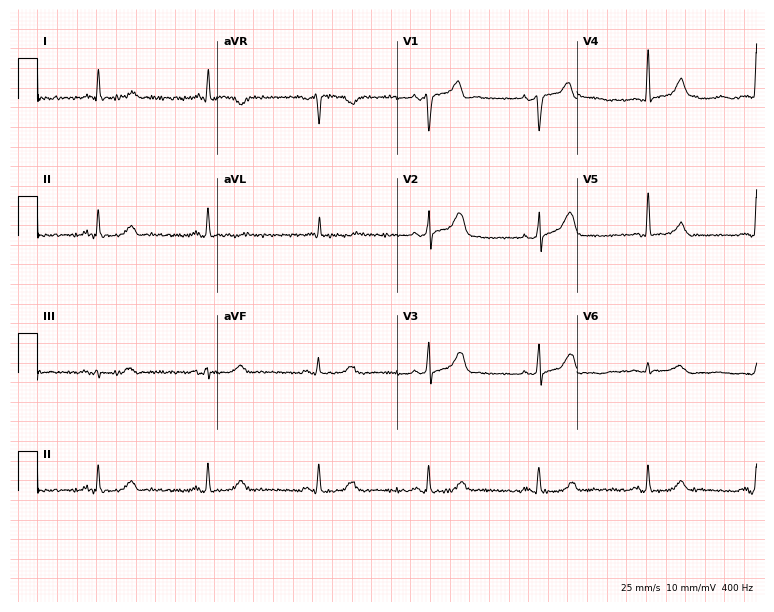
Electrocardiogram, a 67-year-old male. Overall reading on record: normal ECG.